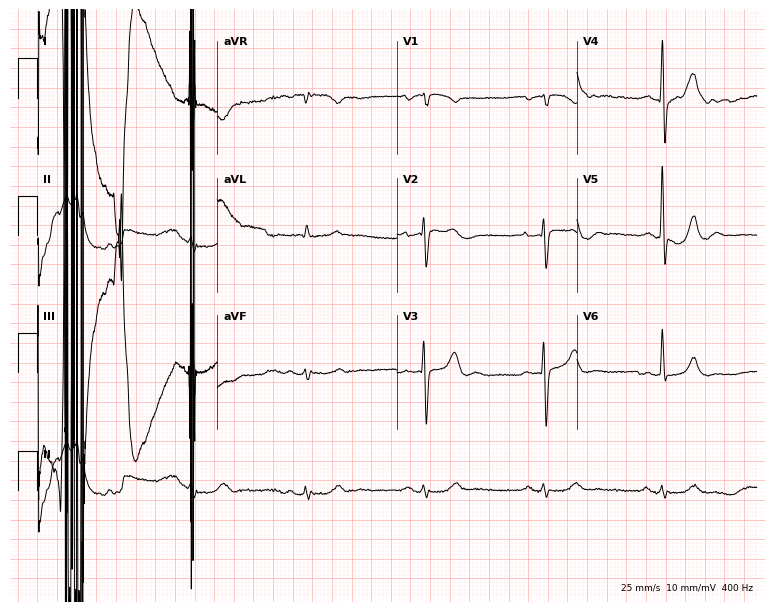
ECG (7.3-second recording at 400 Hz) — a male, 82 years old. Screened for six findings — first-degree AV block, right bundle branch block, left bundle branch block, sinus bradycardia, atrial fibrillation, sinus tachycardia — none is recorded. Other findings, if any, are not listed.